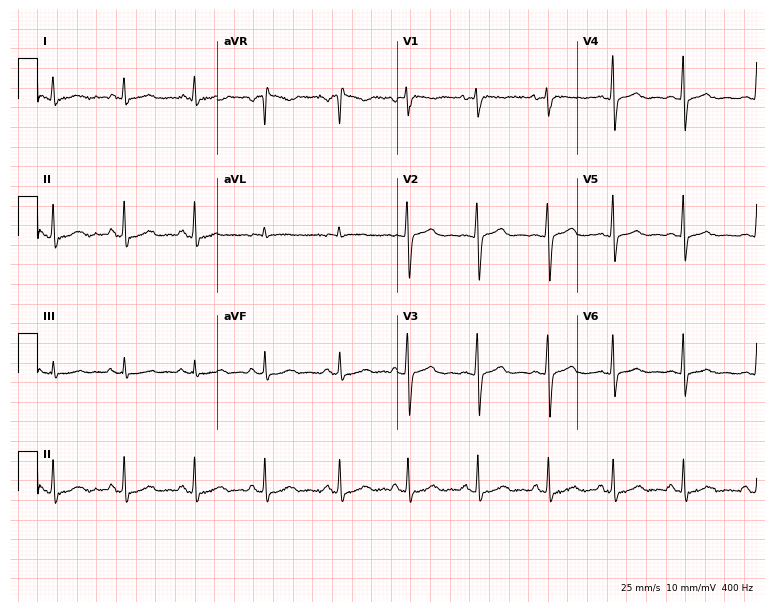
12-lead ECG from a woman, 33 years old (7.3-second recording at 400 Hz). No first-degree AV block, right bundle branch block, left bundle branch block, sinus bradycardia, atrial fibrillation or sinus tachycardia recorded for this tracing. Only these six findings were labelled.